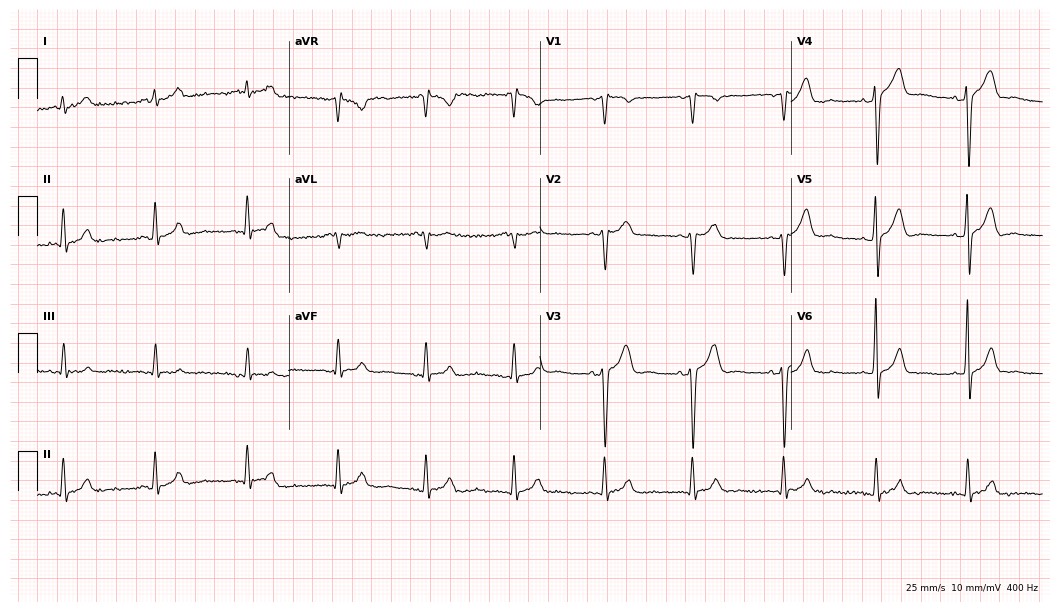
Standard 12-lead ECG recorded from a male, 84 years old (10.2-second recording at 400 Hz). Read as a normal ECG.